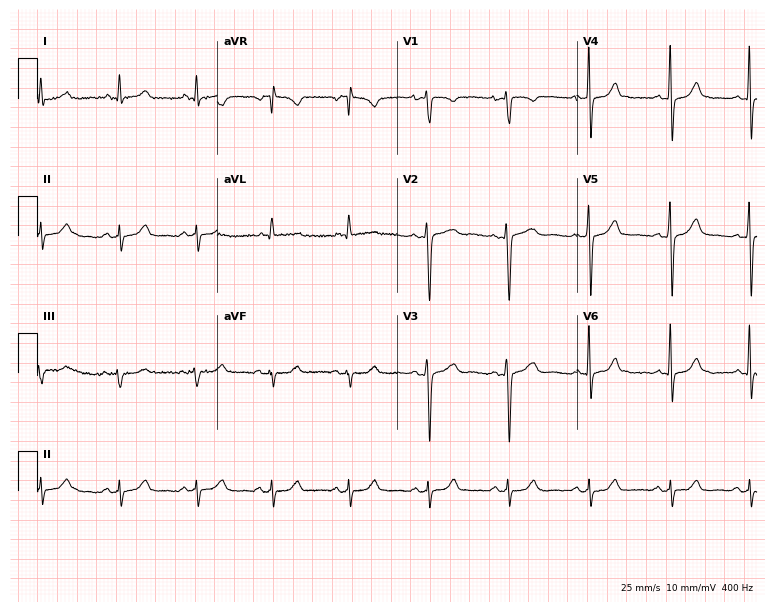
Standard 12-lead ECG recorded from a 47-year-old woman. None of these six findings is recorded: first-degree AV block, right bundle branch block (RBBB), left bundle branch block (LBBB), sinus bradycardia, atrial fibrillation (AF), sinus tachycardia. Findings outside these six are not listed.